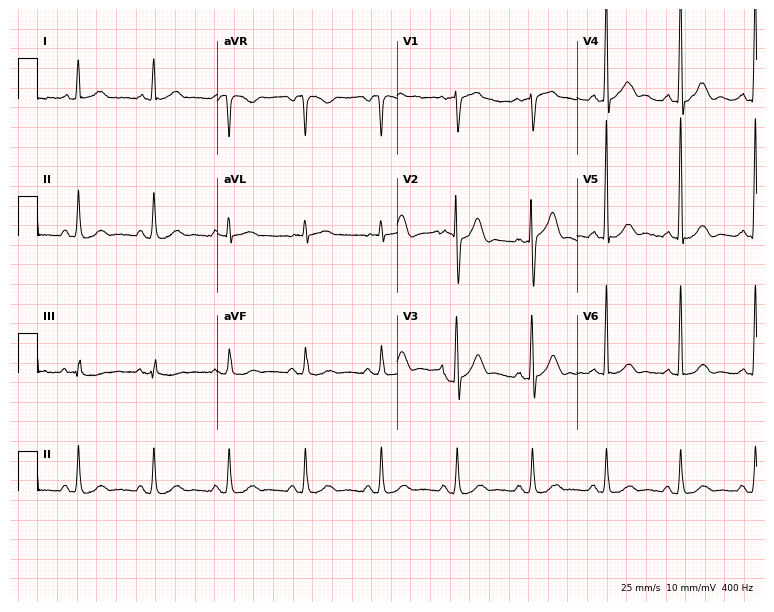
Electrocardiogram (7.3-second recording at 400 Hz), a male patient, 76 years old. Overall reading on record: normal ECG.